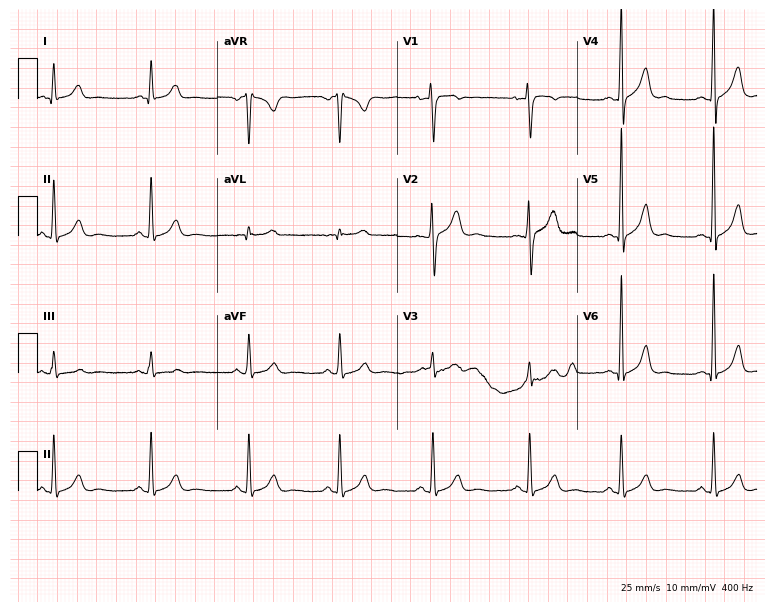
Electrocardiogram, a 20-year-old male patient. Overall reading on record: normal ECG.